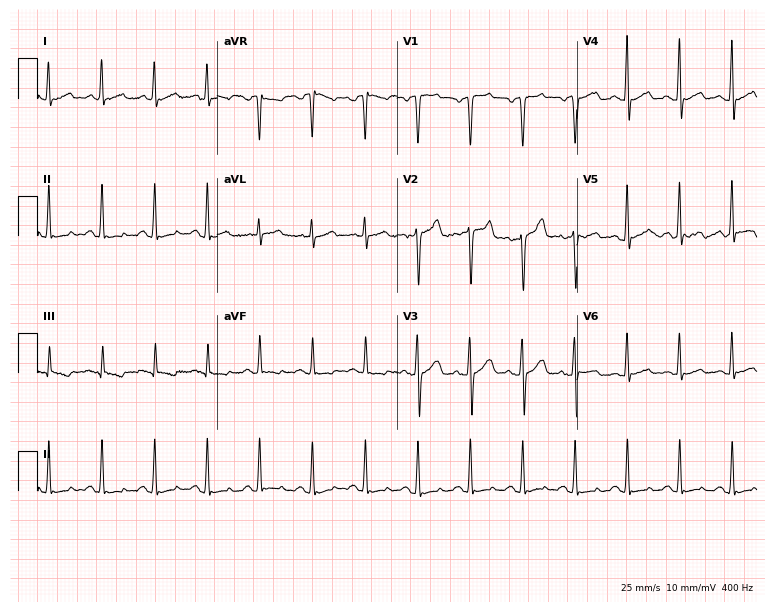
12-lead ECG from a 51-year-old man. Findings include sinus tachycardia (a sinus rate of 100 beats per minute or more).